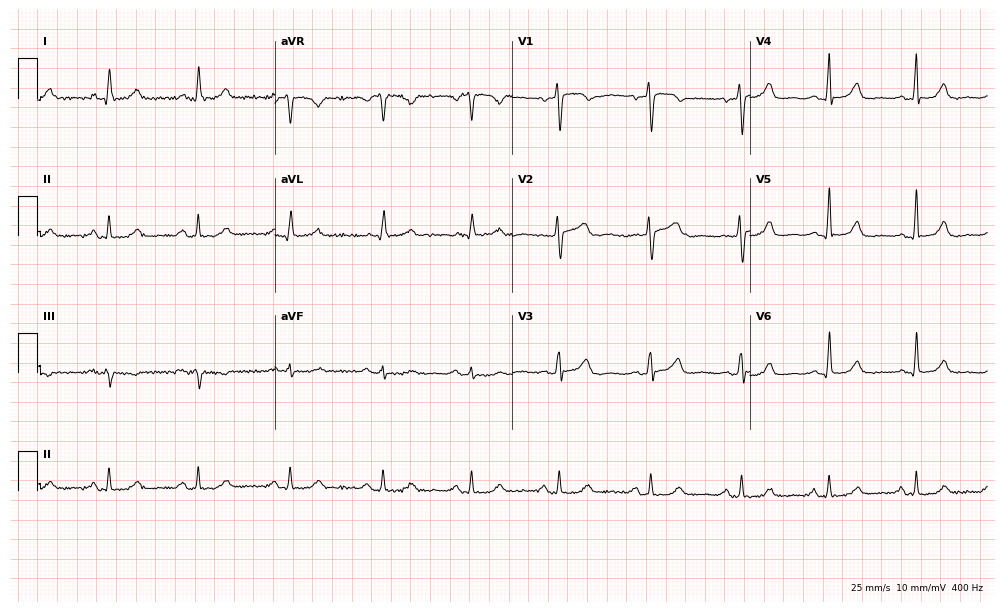
Standard 12-lead ECG recorded from a woman, 54 years old (9.7-second recording at 400 Hz). Read as a normal ECG.